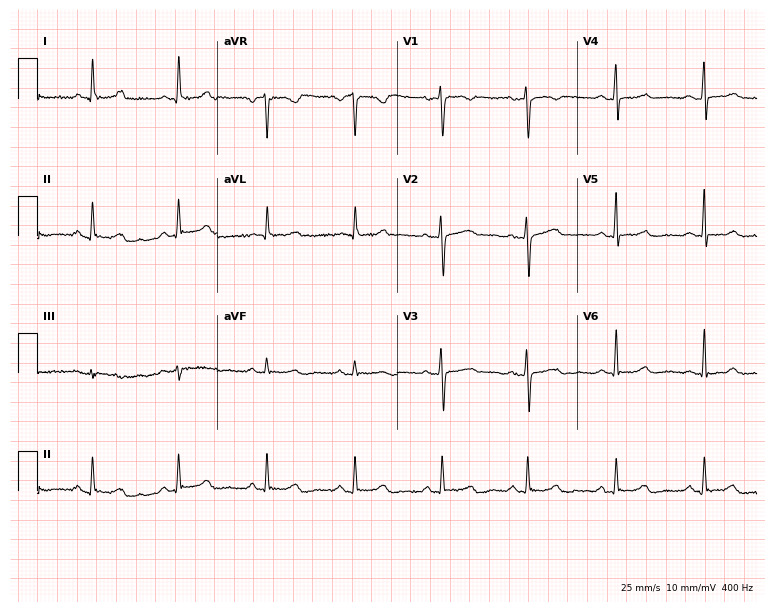
12-lead ECG (7.3-second recording at 400 Hz) from a female, 55 years old. Screened for six findings — first-degree AV block, right bundle branch block, left bundle branch block, sinus bradycardia, atrial fibrillation, sinus tachycardia — none is recorded.